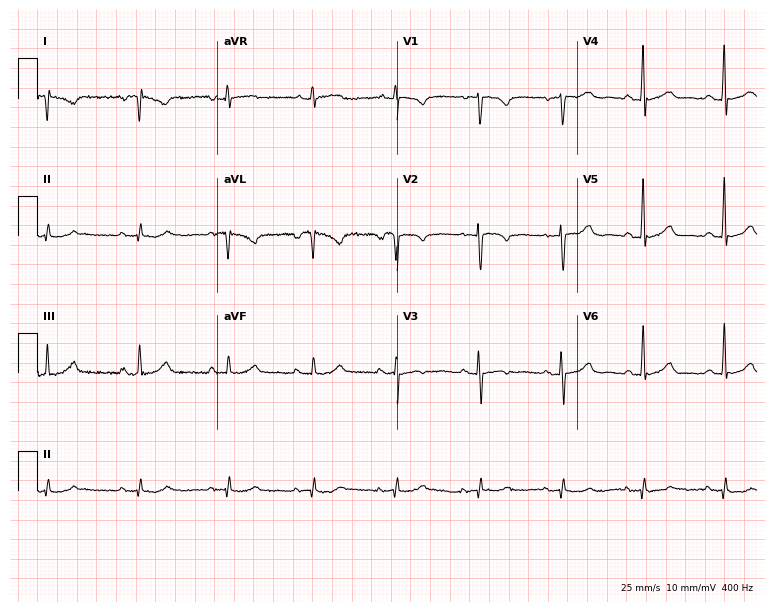
12-lead ECG from a 50-year-old woman (7.3-second recording at 400 Hz). No first-degree AV block, right bundle branch block, left bundle branch block, sinus bradycardia, atrial fibrillation or sinus tachycardia recorded for this tracing.